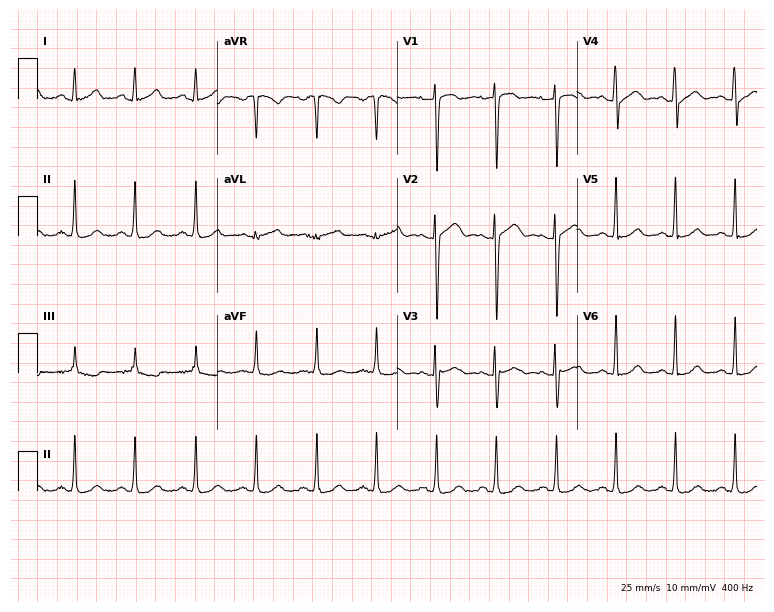
12-lead ECG from a female patient, 28 years old (7.3-second recording at 400 Hz). No first-degree AV block, right bundle branch block (RBBB), left bundle branch block (LBBB), sinus bradycardia, atrial fibrillation (AF) or sinus tachycardia recorded for this tracing. Findings outside these six are not listed.